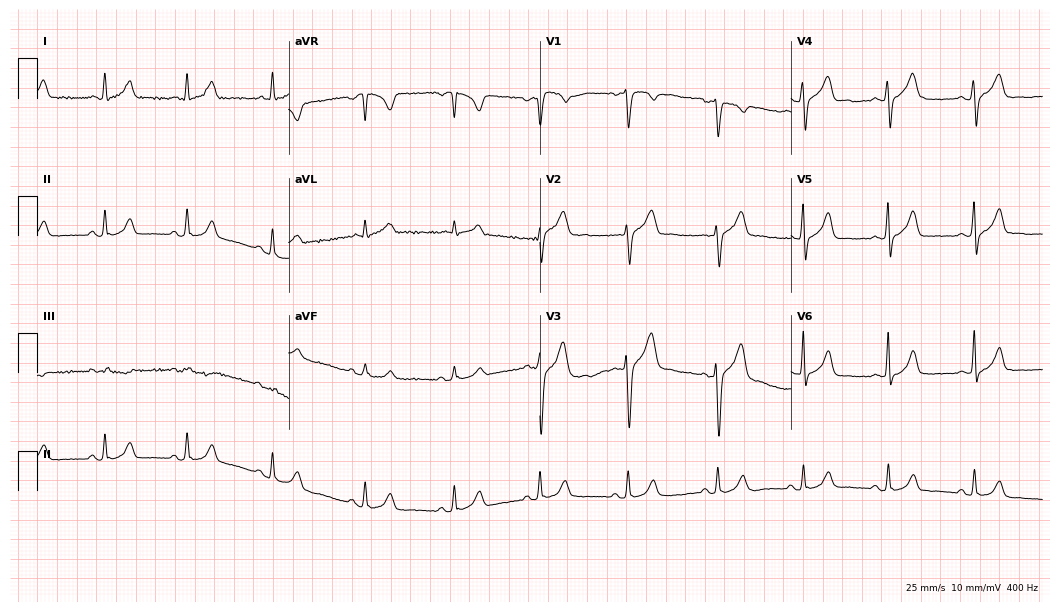
Electrocardiogram, a 36-year-old male patient. Overall reading on record: normal ECG.